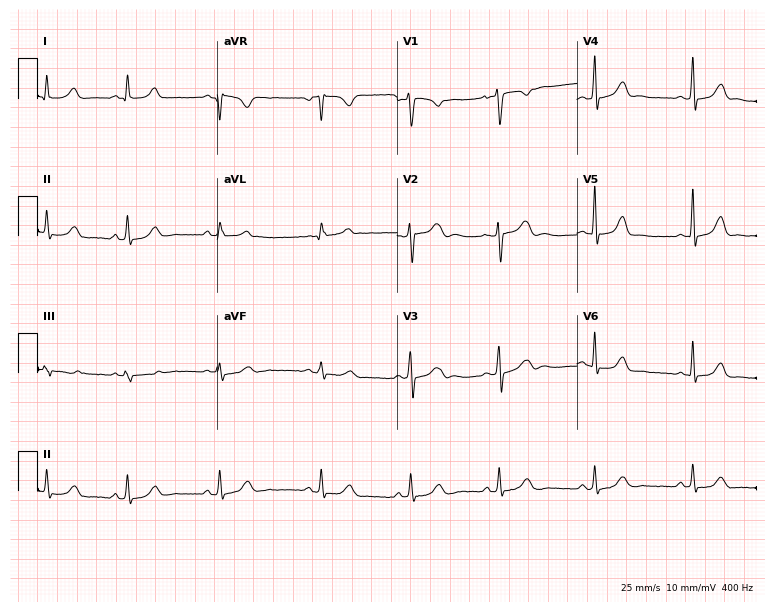
12-lead ECG from a female patient, 22 years old. No first-degree AV block, right bundle branch block (RBBB), left bundle branch block (LBBB), sinus bradycardia, atrial fibrillation (AF) or sinus tachycardia recorded for this tracing.